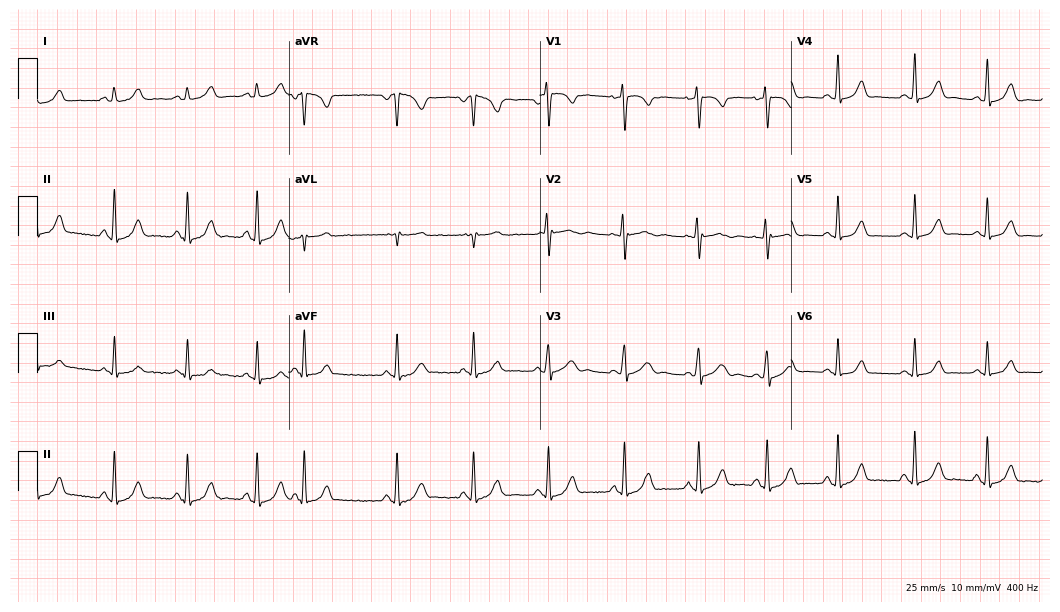
Resting 12-lead electrocardiogram (10.2-second recording at 400 Hz). Patient: a 17-year-old woman. None of these six findings is recorded: first-degree AV block, right bundle branch block, left bundle branch block, sinus bradycardia, atrial fibrillation, sinus tachycardia.